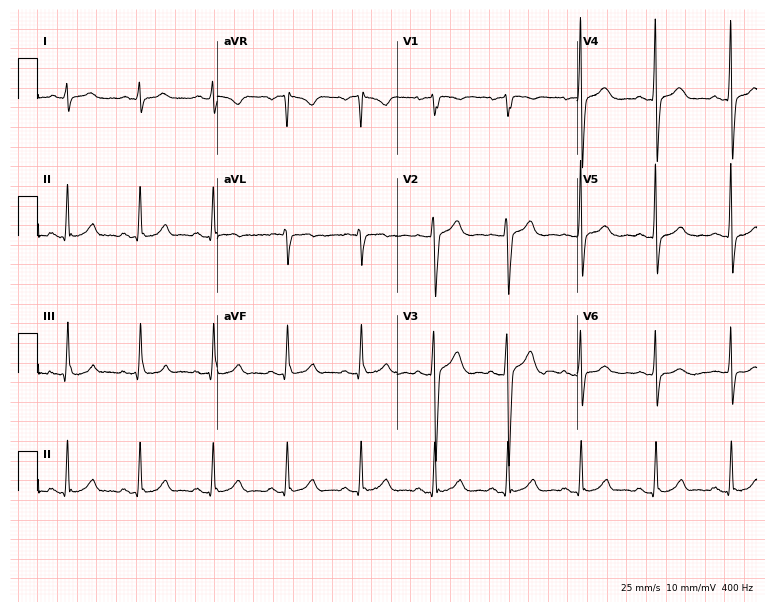
Electrocardiogram (7.3-second recording at 400 Hz), a 36-year-old male. Overall reading on record: normal ECG.